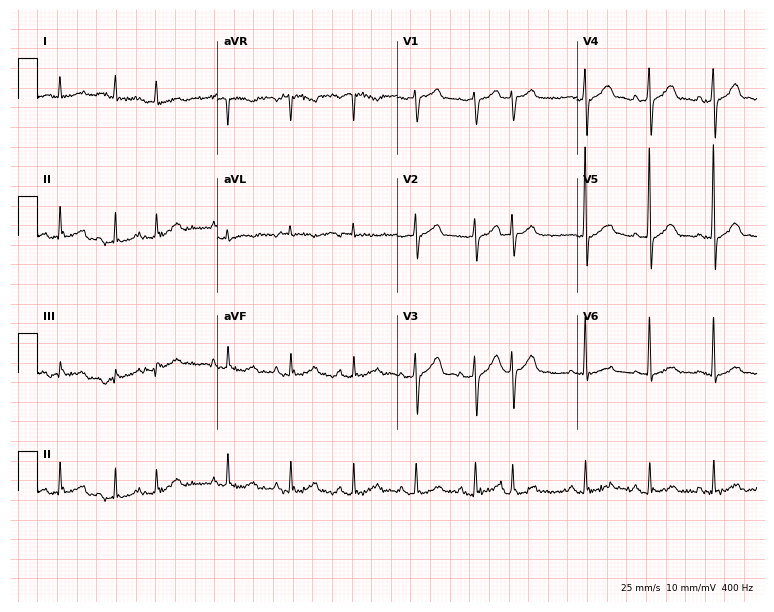
12-lead ECG from a male, 76 years old. Screened for six findings — first-degree AV block, right bundle branch block, left bundle branch block, sinus bradycardia, atrial fibrillation, sinus tachycardia — none is recorded.